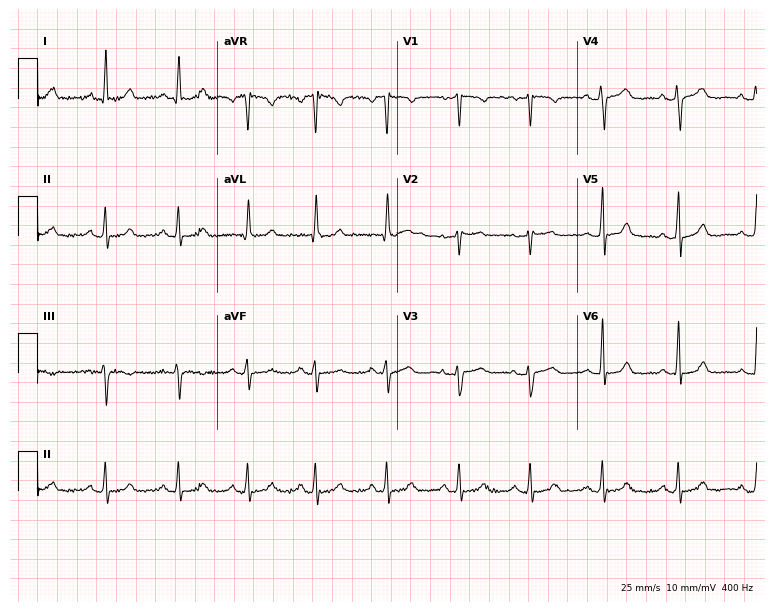
12-lead ECG from a 51-year-old woman (7.3-second recording at 400 Hz). No first-degree AV block, right bundle branch block, left bundle branch block, sinus bradycardia, atrial fibrillation or sinus tachycardia recorded for this tracing. Other findings, if any, are not listed.